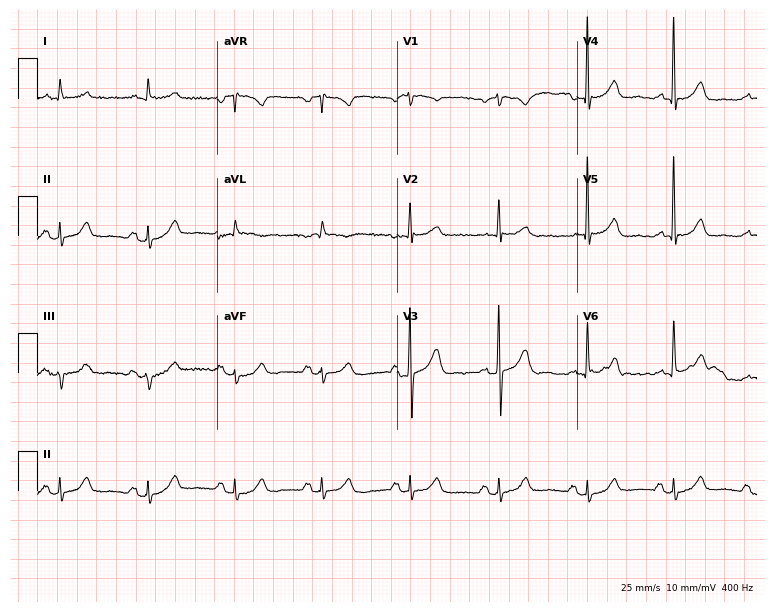
Resting 12-lead electrocardiogram (7.3-second recording at 400 Hz). Patient: a female, 79 years old. Read as a normal ECG.